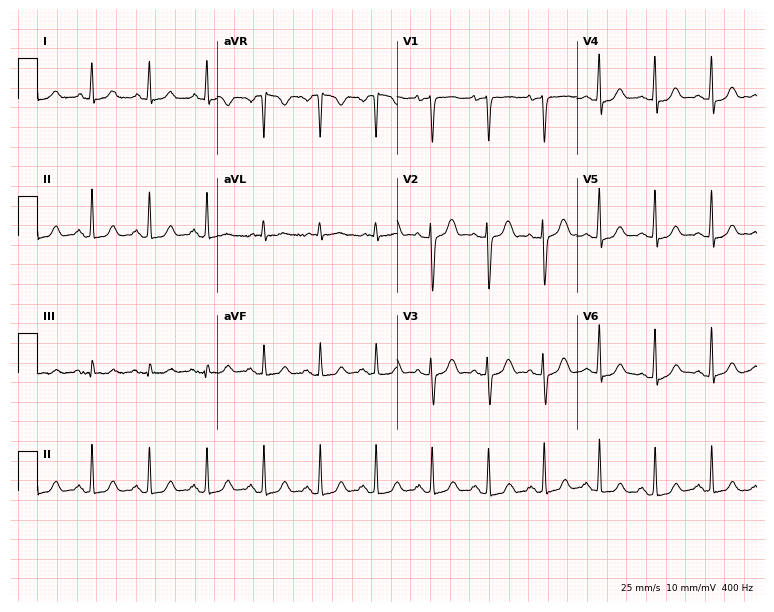
Electrocardiogram (7.3-second recording at 400 Hz), a 43-year-old female patient. Interpretation includes sinus tachycardia (a sinus rate of 100 beats per minute or more).